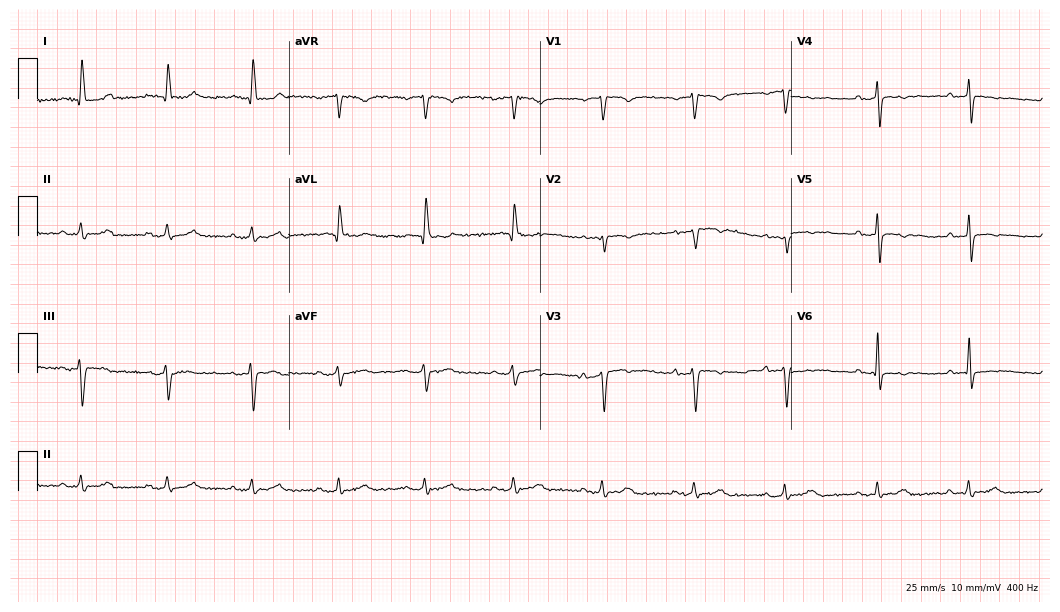
Electrocardiogram, a 78-year-old male. Of the six screened findings (first-degree AV block, right bundle branch block (RBBB), left bundle branch block (LBBB), sinus bradycardia, atrial fibrillation (AF), sinus tachycardia), none is recorded. Other findings, if any, are not listed.